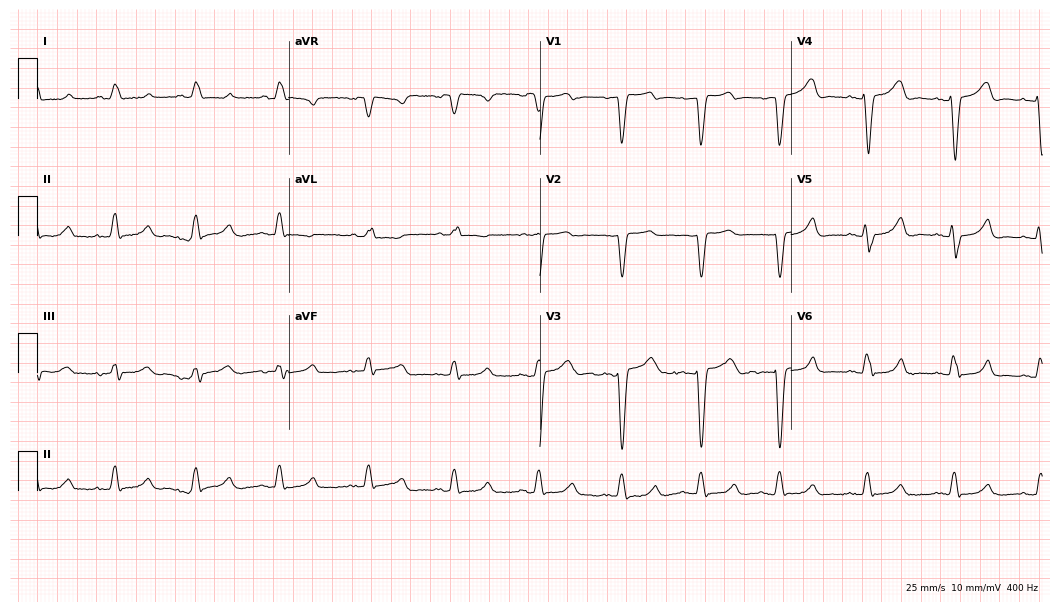
12-lead ECG from a 77-year-old woman. Screened for six findings — first-degree AV block, right bundle branch block, left bundle branch block, sinus bradycardia, atrial fibrillation, sinus tachycardia — none is recorded.